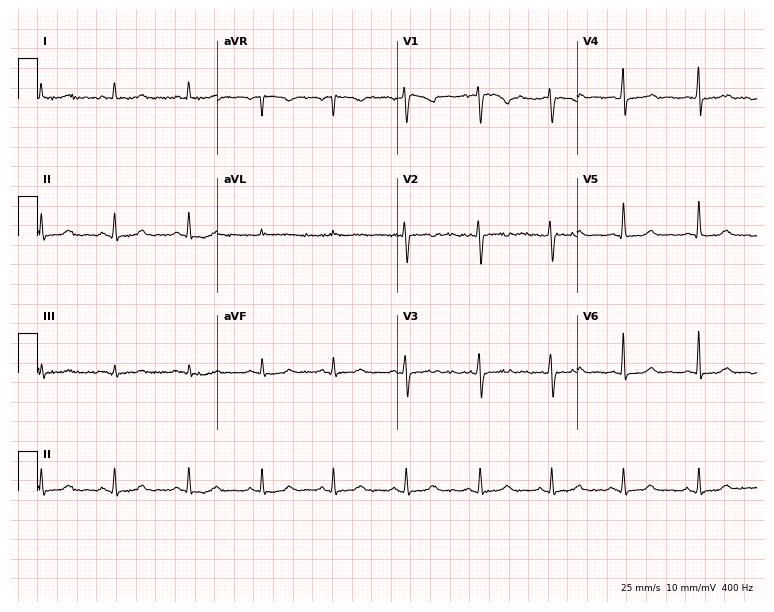
12-lead ECG from a 41-year-old female (7.3-second recording at 400 Hz). Recorded interpretation: within normal limits.